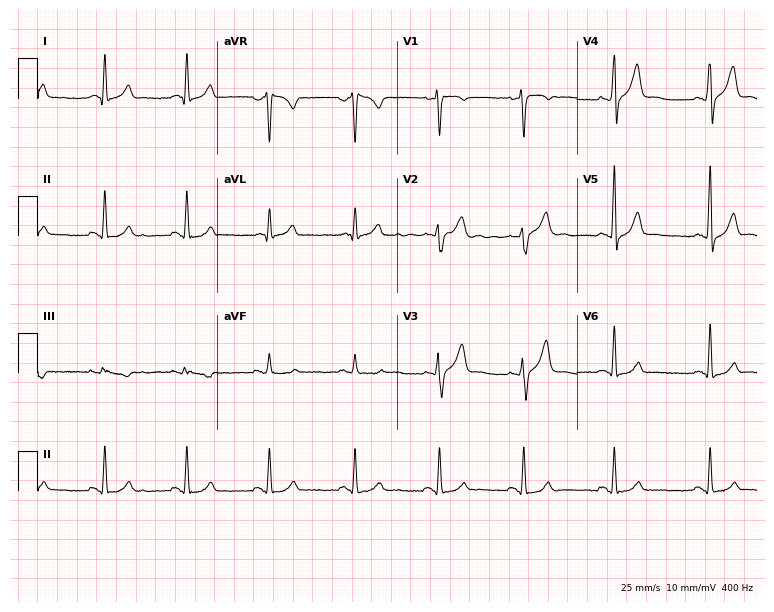
Standard 12-lead ECG recorded from a male, 42 years old. None of these six findings is recorded: first-degree AV block, right bundle branch block, left bundle branch block, sinus bradycardia, atrial fibrillation, sinus tachycardia. Findings outside these six are not listed.